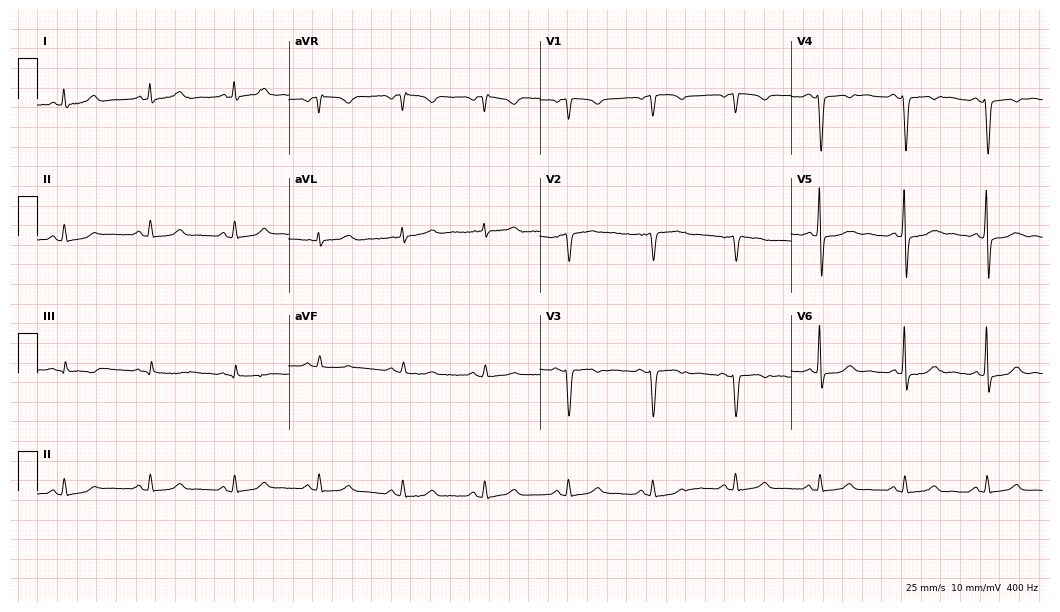
12-lead ECG (10.2-second recording at 400 Hz) from a 52-year-old female patient. Screened for six findings — first-degree AV block, right bundle branch block, left bundle branch block, sinus bradycardia, atrial fibrillation, sinus tachycardia — none is recorded.